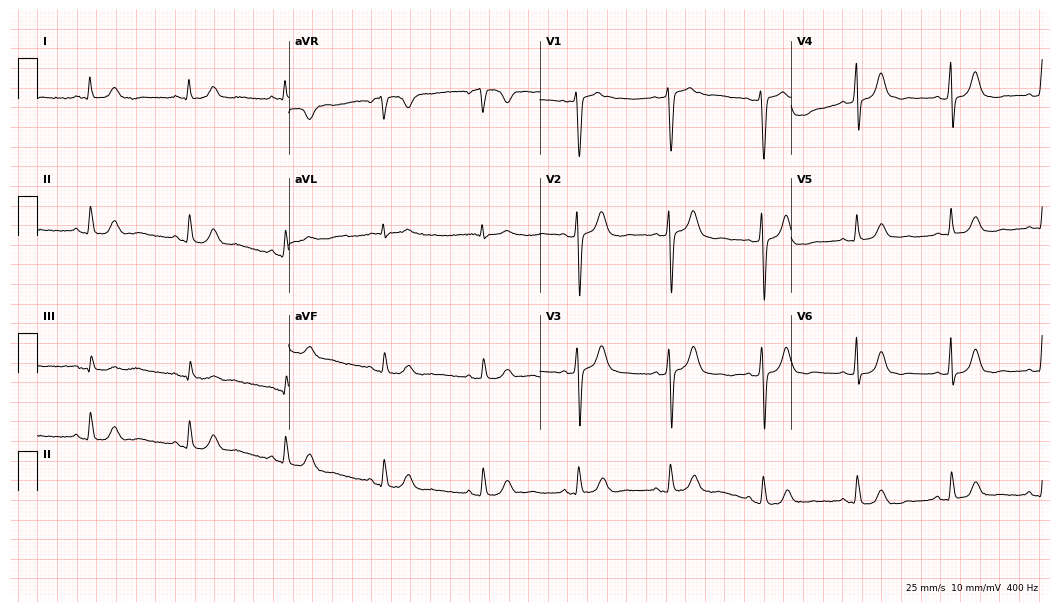
Electrocardiogram (10.2-second recording at 400 Hz), a female, 47 years old. Overall reading on record: normal ECG.